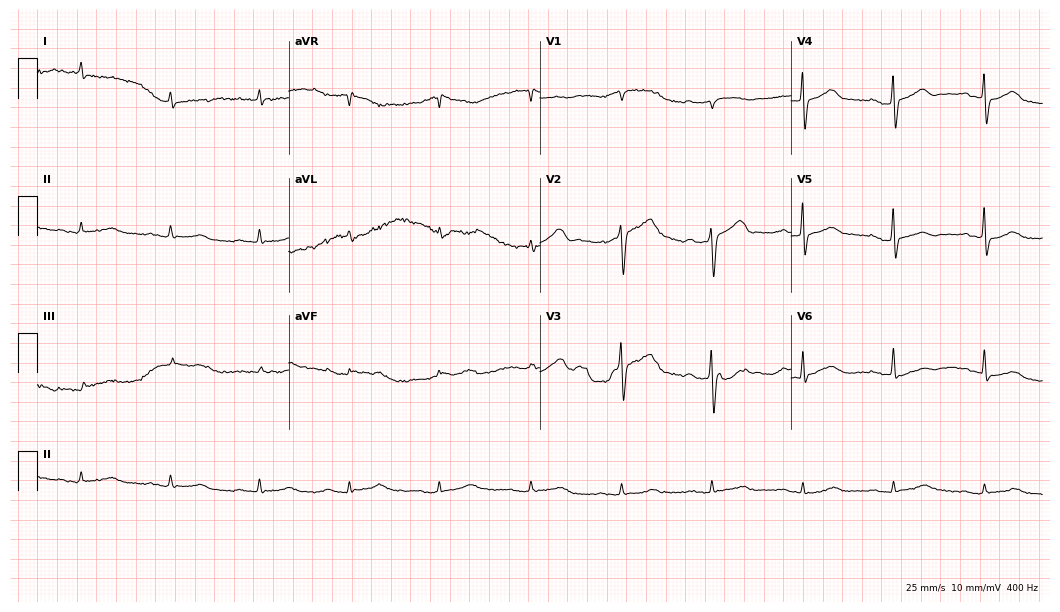
12-lead ECG from a 69-year-old man (10.2-second recording at 400 Hz). No first-degree AV block, right bundle branch block, left bundle branch block, sinus bradycardia, atrial fibrillation or sinus tachycardia recorded for this tracing. Other findings, if any, are not listed.